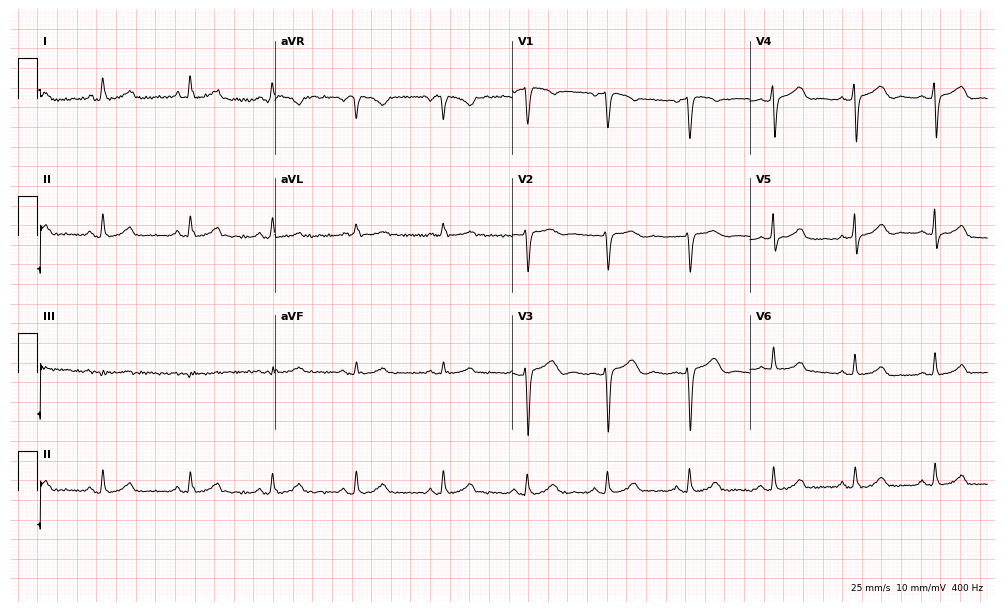
ECG — a female, 48 years old. Labelled as a normal ECG.